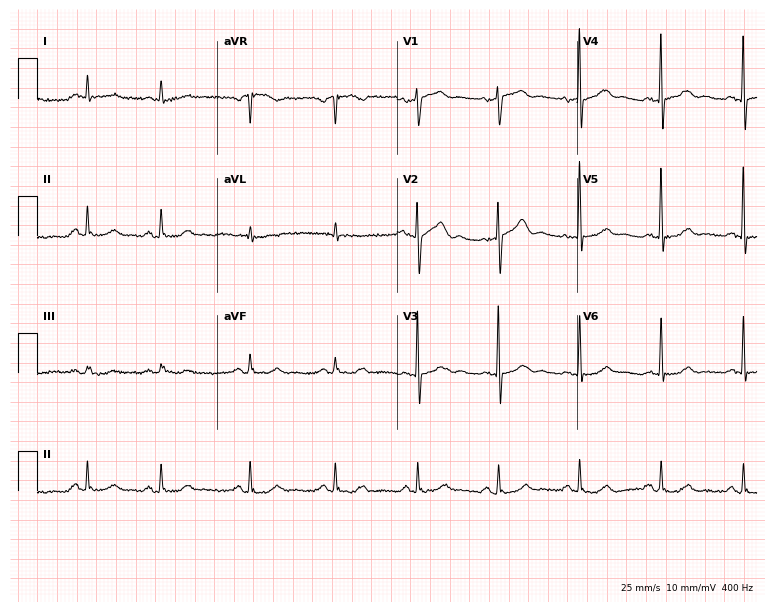
Standard 12-lead ECG recorded from a male, 75 years old (7.3-second recording at 400 Hz). Read as a normal ECG.